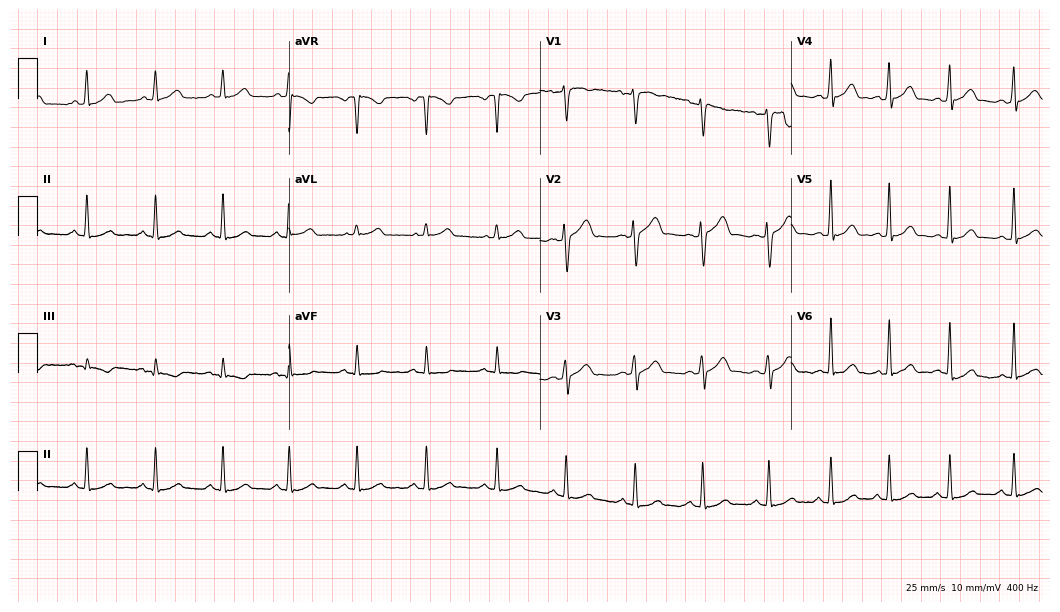
12-lead ECG from a male, 30 years old. Recorded interpretation: within normal limits.